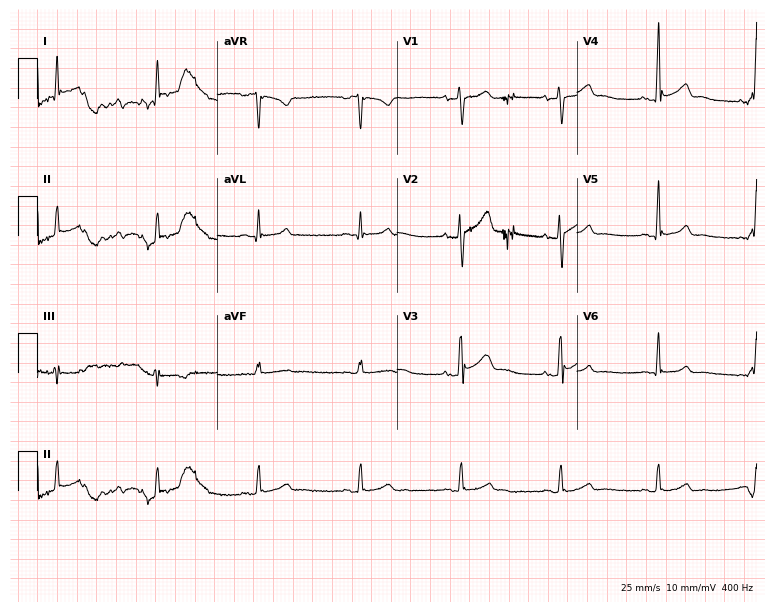
ECG (7.3-second recording at 400 Hz) — a male, 43 years old. Labelled as a normal ECG.